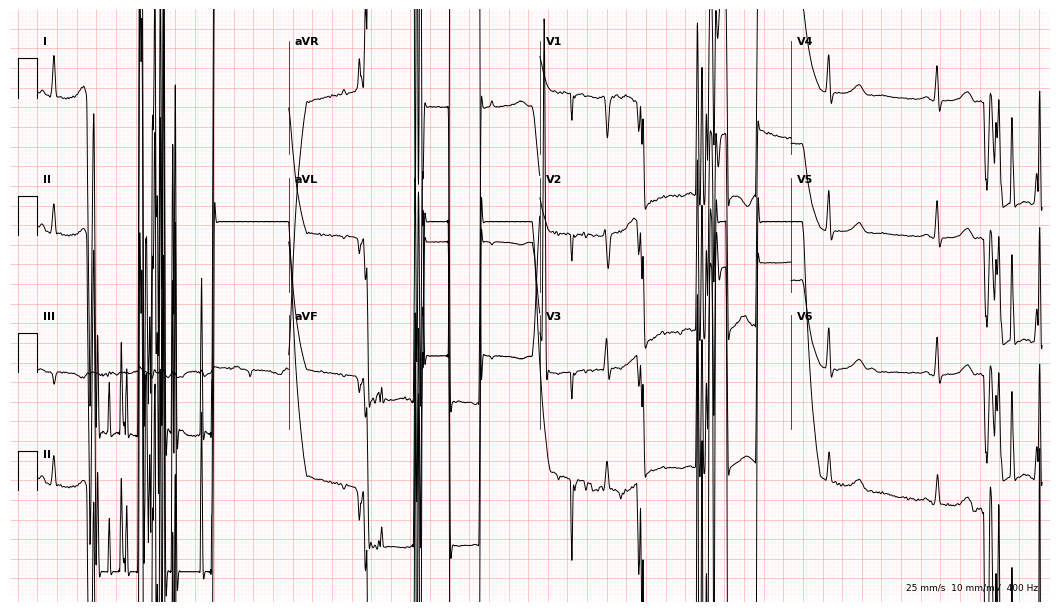
Standard 12-lead ECG recorded from a female, 56 years old. None of these six findings is recorded: first-degree AV block, right bundle branch block, left bundle branch block, sinus bradycardia, atrial fibrillation, sinus tachycardia.